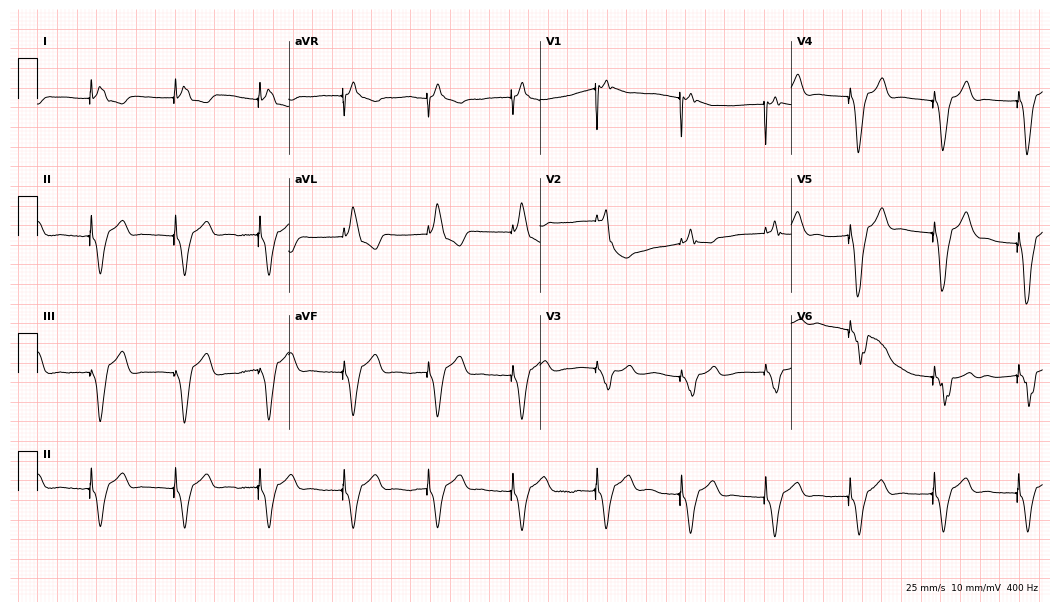
Resting 12-lead electrocardiogram (10.2-second recording at 400 Hz). Patient: a male, 83 years old. None of these six findings is recorded: first-degree AV block, right bundle branch block, left bundle branch block, sinus bradycardia, atrial fibrillation, sinus tachycardia.